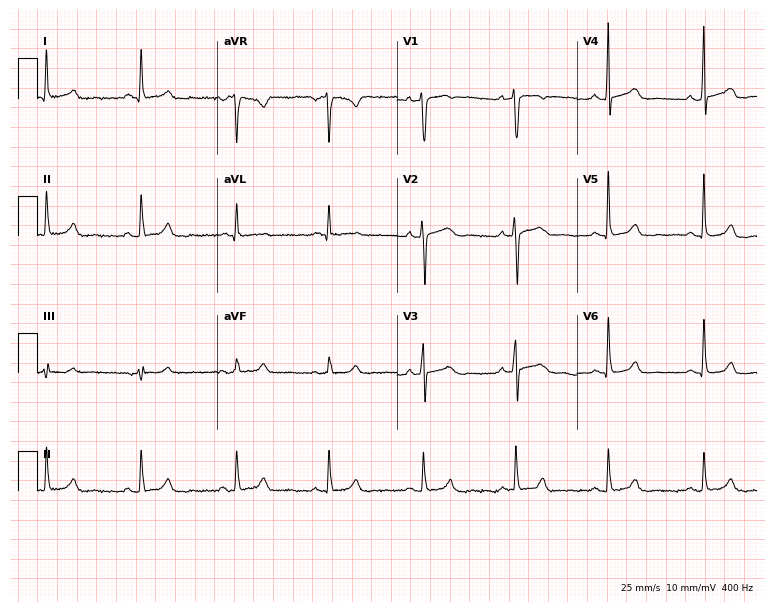
12-lead ECG from a man, 74 years old (7.3-second recording at 400 Hz). Recorded interpretation: within normal limits.